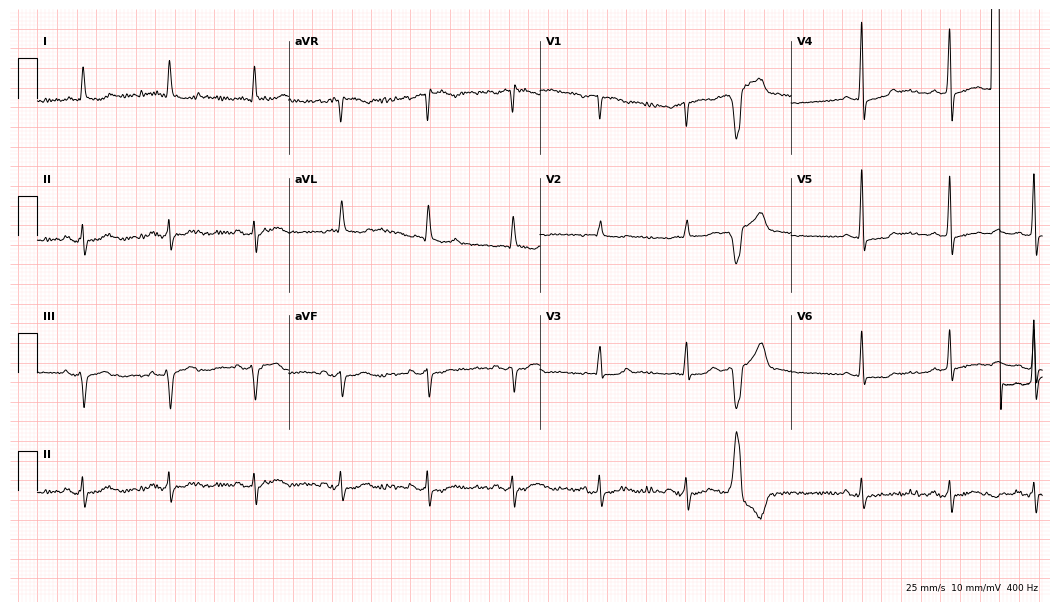
ECG (10.2-second recording at 400 Hz) — an 82-year-old woman. Labelled as a normal ECG.